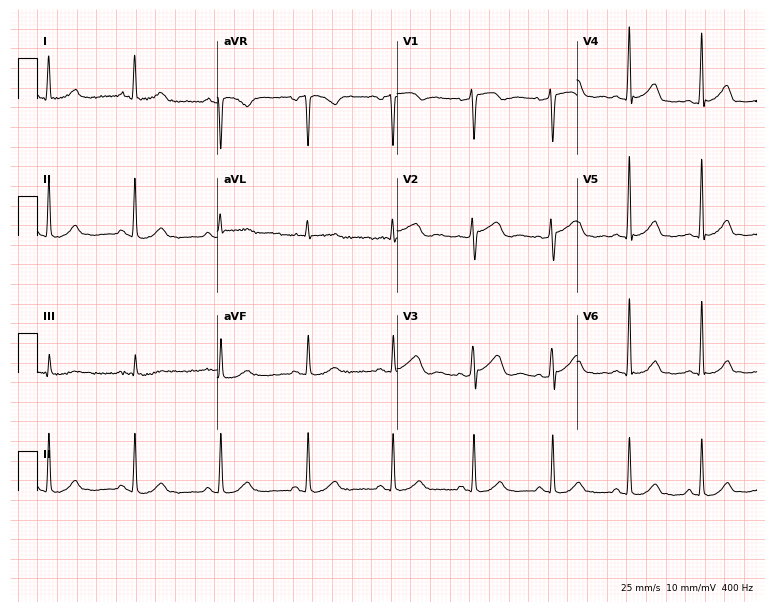
ECG (7.3-second recording at 400 Hz) — a female, 53 years old. Screened for six findings — first-degree AV block, right bundle branch block (RBBB), left bundle branch block (LBBB), sinus bradycardia, atrial fibrillation (AF), sinus tachycardia — none is recorded.